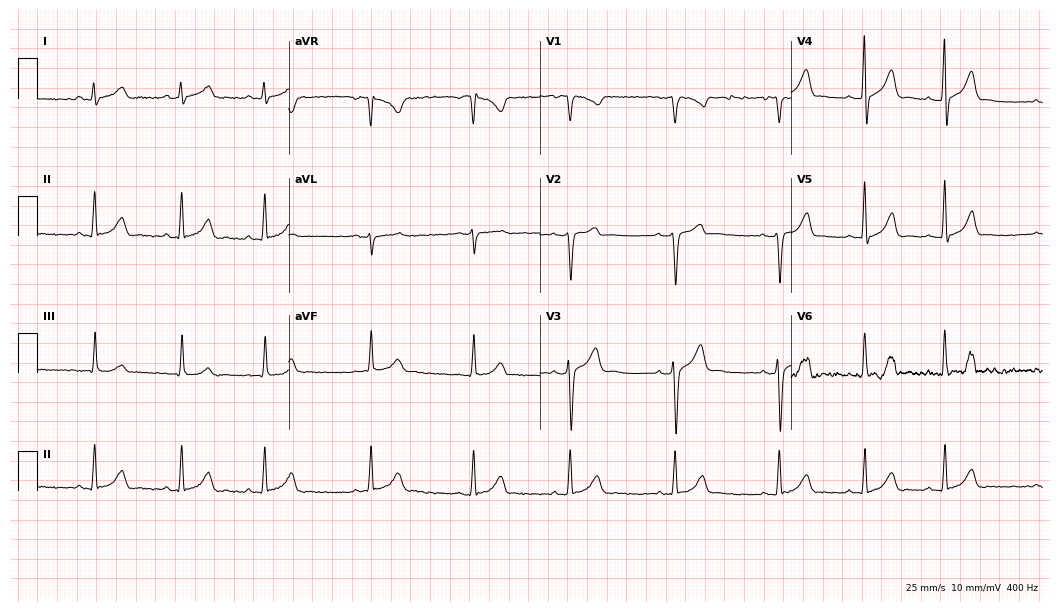
12-lead ECG from a male, 24 years old (10.2-second recording at 400 Hz). Recorded interpretation: within normal limits.